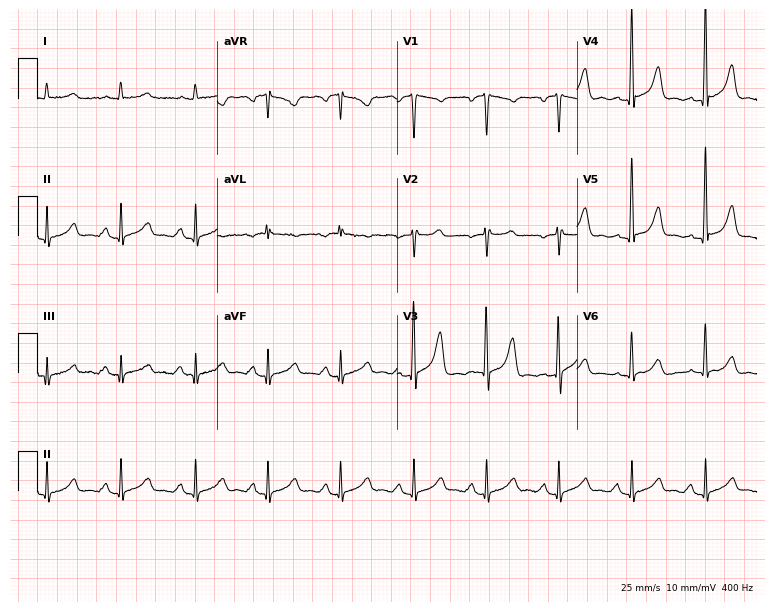
12-lead ECG (7.3-second recording at 400 Hz) from a 59-year-old male. Screened for six findings — first-degree AV block, right bundle branch block, left bundle branch block, sinus bradycardia, atrial fibrillation, sinus tachycardia — none is recorded. Only these six findings were labelled.